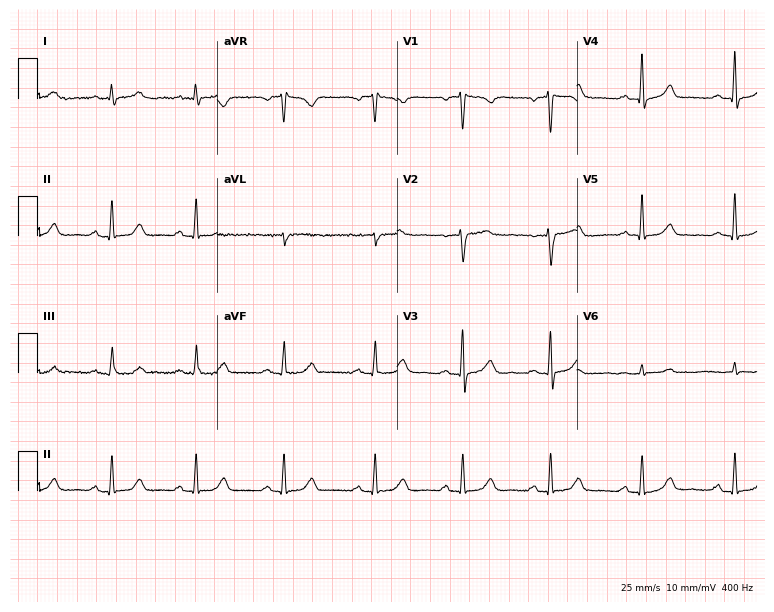
12-lead ECG from a 46-year-old female patient. Screened for six findings — first-degree AV block, right bundle branch block, left bundle branch block, sinus bradycardia, atrial fibrillation, sinus tachycardia — none is recorded.